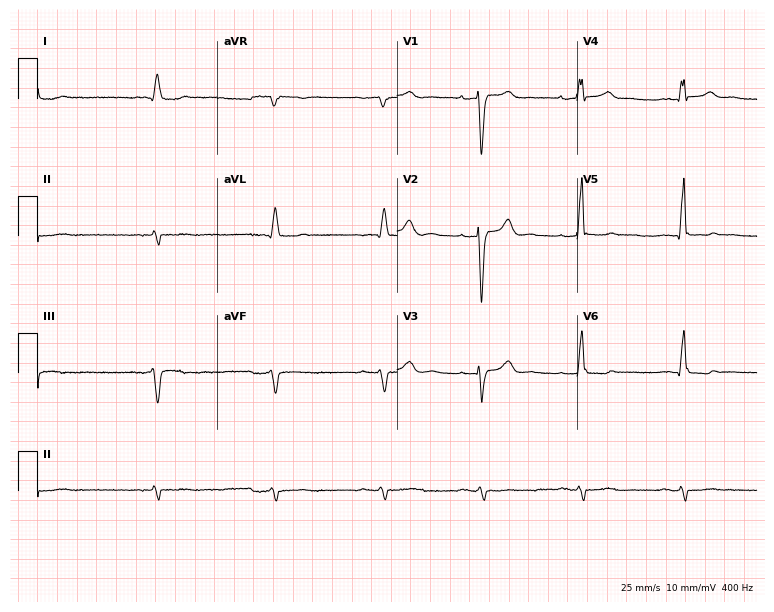
Resting 12-lead electrocardiogram. Patient: a male, 47 years old. None of these six findings is recorded: first-degree AV block, right bundle branch block, left bundle branch block, sinus bradycardia, atrial fibrillation, sinus tachycardia.